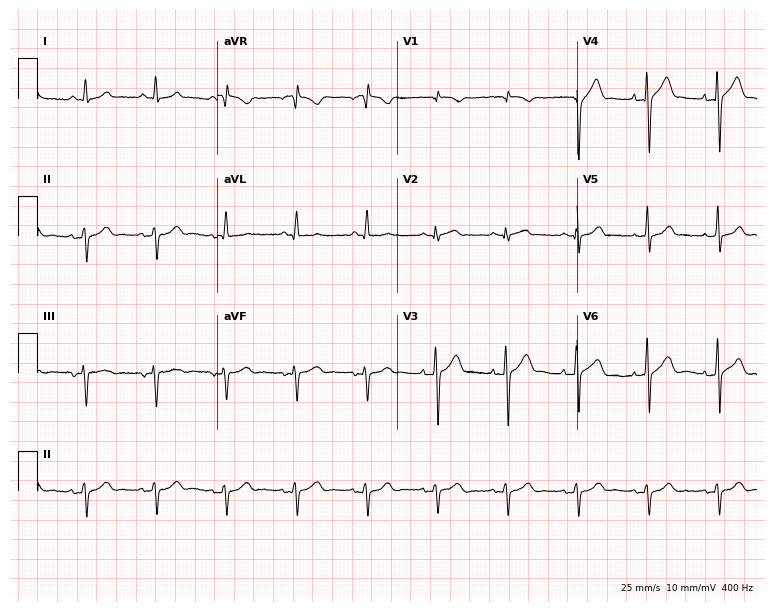
Resting 12-lead electrocardiogram. Patient: a 73-year-old male. None of these six findings is recorded: first-degree AV block, right bundle branch block, left bundle branch block, sinus bradycardia, atrial fibrillation, sinus tachycardia.